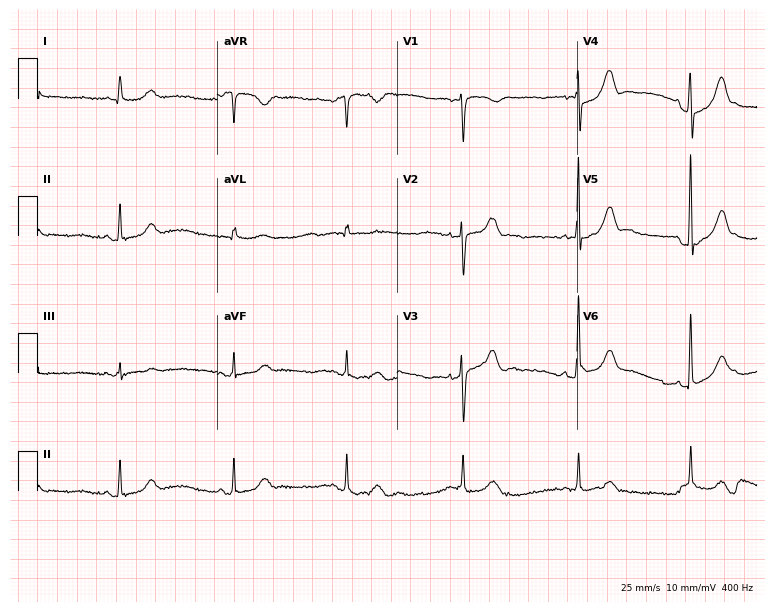
12-lead ECG from a woman, 67 years old. Labelled as a normal ECG.